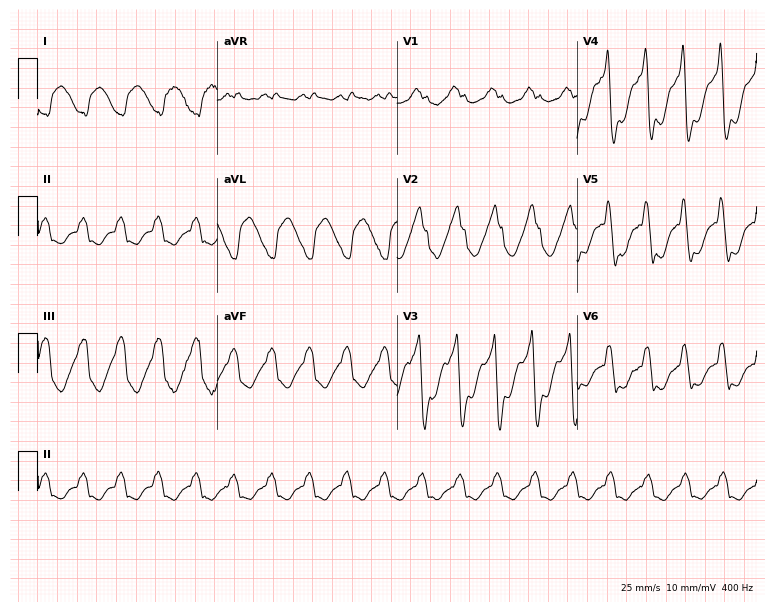
Electrocardiogram (7.3-second recording at 400 Hz), a male patient, 78 years old. Interpretation includes right bundle branch block, sinus tachycardia (a sinus rate of 100 beats per minute or more).